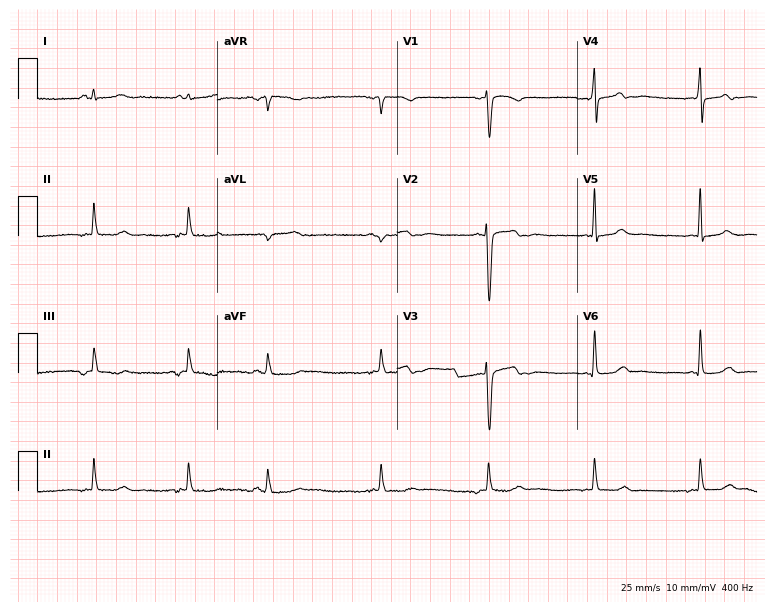
ECG (7.3-second recording at 400 Hz) — a 35-year-old female patient. Screened for six findings — first-degree AV block, right bundle branch block (RBBB), left bundle branch block (LBBB), sinus bradycardia, atrial fibrillation (AF), sinus tachycardia — none is recorded. Only these six findings were labelled.